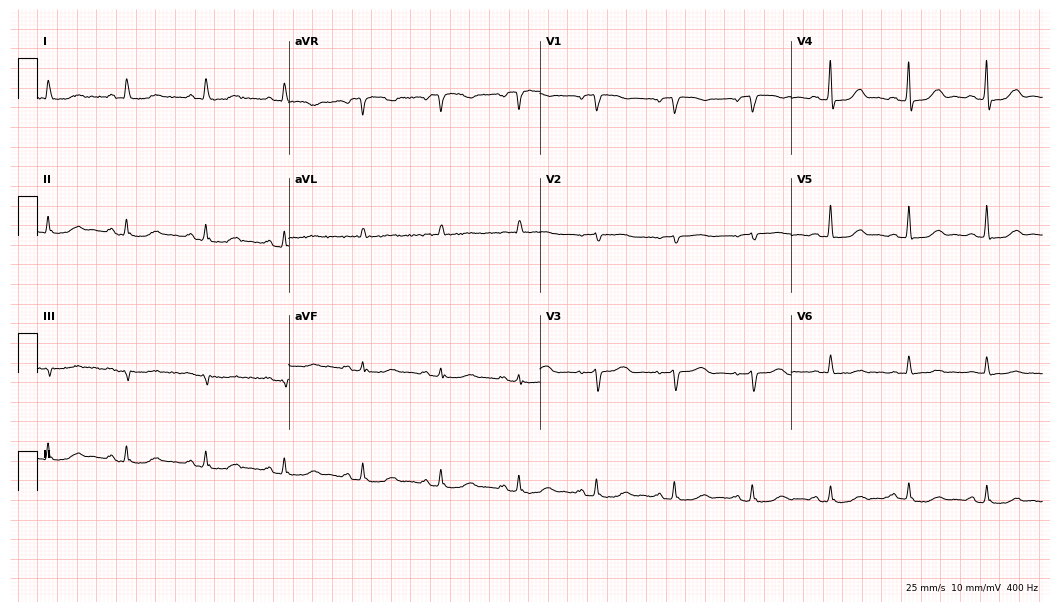
Resting 12-lead electrocardiogram. Patient: a 77-year-old woman. None of these six findings is recorded: first-degree AV block, right bundle branch block (RBBB), left bundle branch block (LBBB), sinus bradycardia, atrial fibrillation (AF), sinus tachycardia.